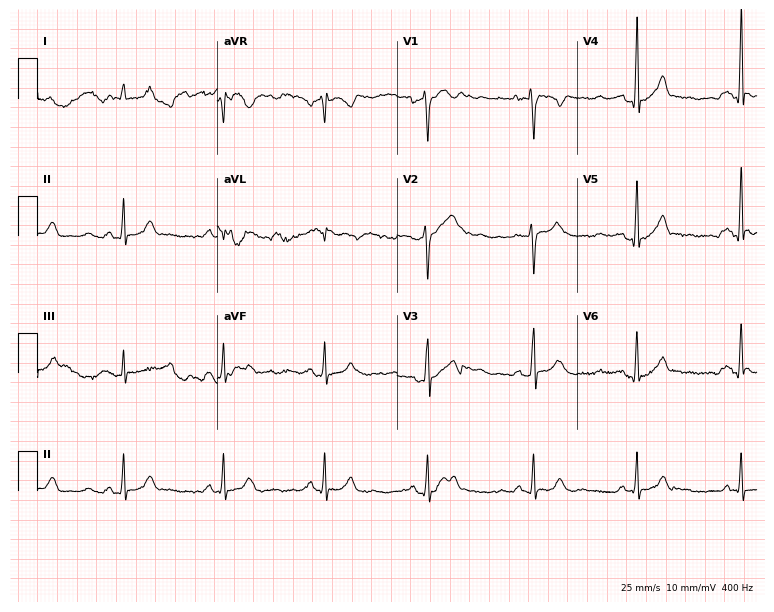
12-lead ECG from a male, 53 years old (7.3-second recording at 400 Hz). Recorded interpretation: within normal limits.